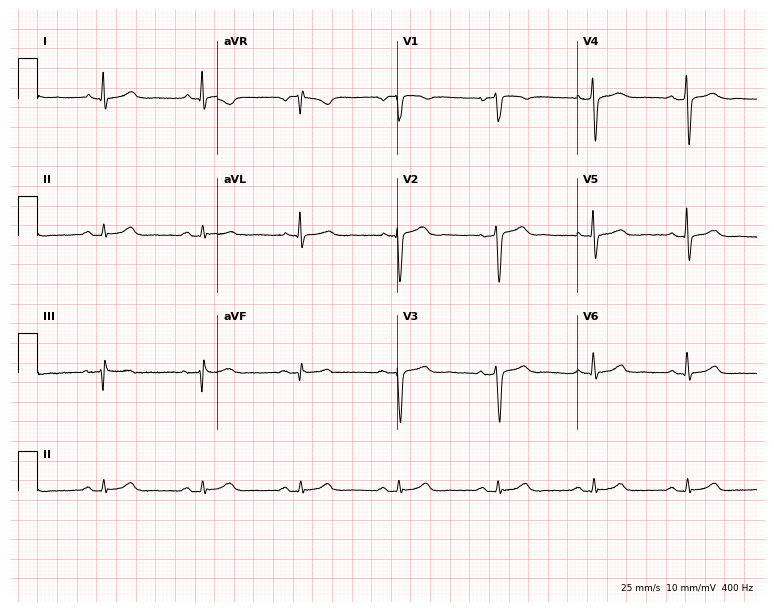
Electrocardiogram (7.3-second recording at 400 Hz), a 40-year-old man. Overall reading on record: normal ECG.